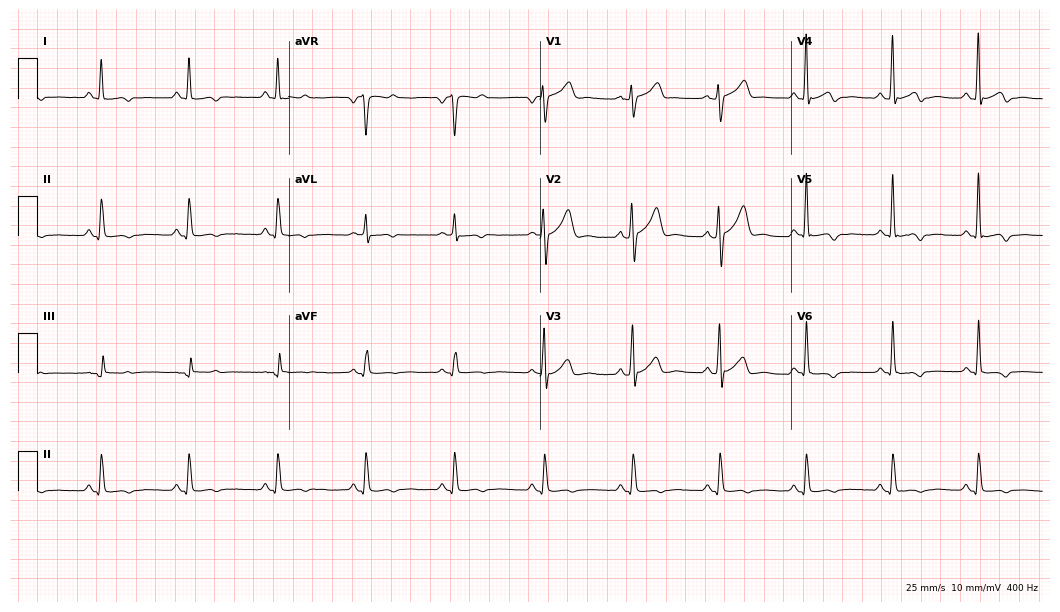
Electrocardiogram, a male, 47 years old. Overall reading on record: normal ECG.